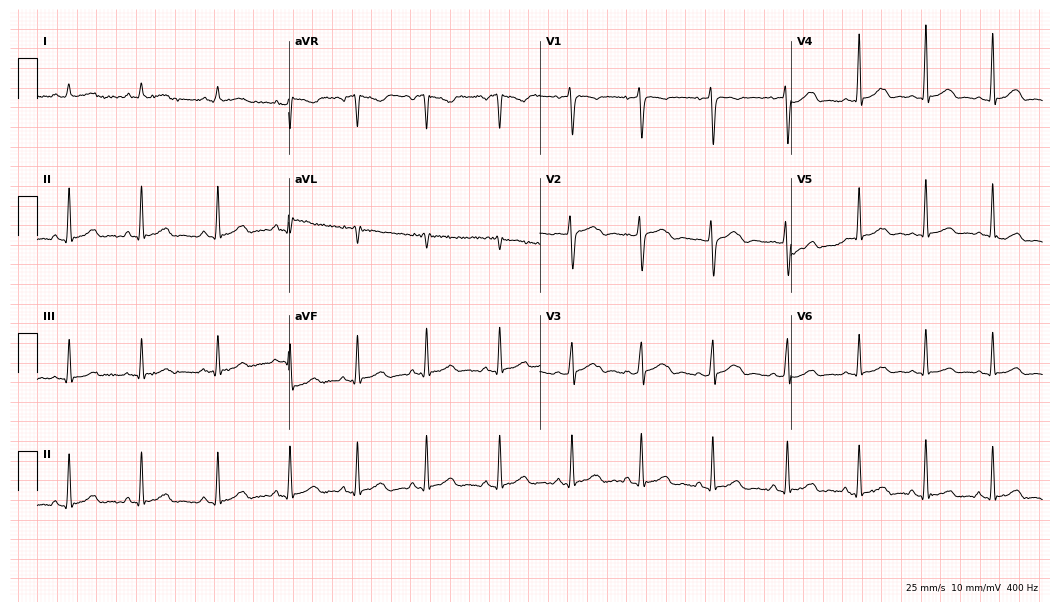
Standard 12-lead ECG recorded from a female patient, 35 years old (10.2-second recording at 400 Hz). Read as a normal ECG.